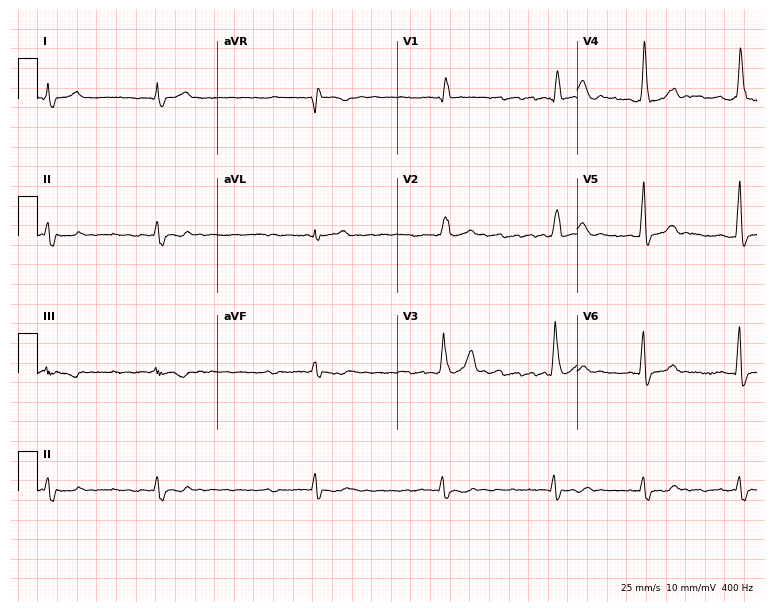
12-lead ECG from a 62-year-old man. Findings include right bundle branch block (RBBB), atrial fibrillation (AF).